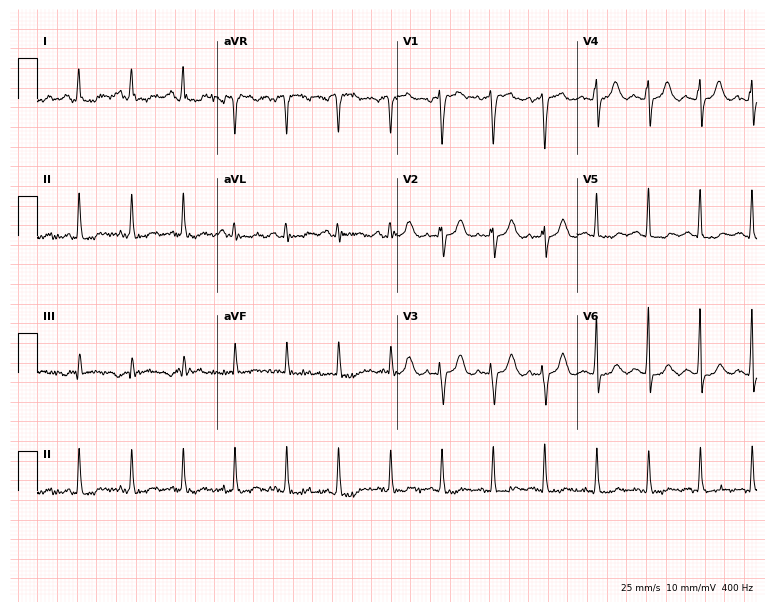
12-lead ECG from a 71-year-old female. Screened for six findings — first-degree AV block, right bundle branch block (RBBB), left bundle branch block (LBBB), sinus bradycardia, atrial fibrillation (AF), sinus tachycardia — none is recorded. Other findings, if any, are not listed.